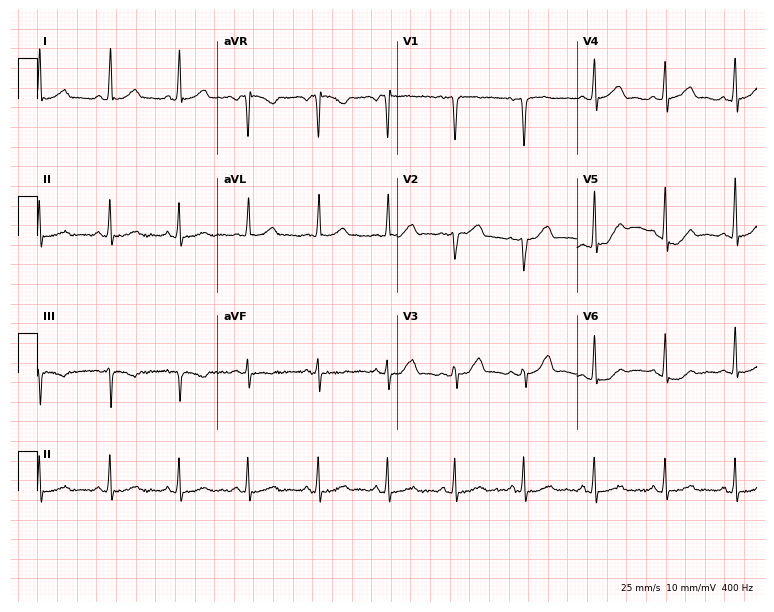
Standard 12-lead ECG recorded from a 39-year-old woman. None of these six findings is recorded: first-degree AV block, right bundle branch block, left bundle branch block, sinus bradycardia, atrial fibrillation, sinus tachycardia. Other findings, if any, are not listed.